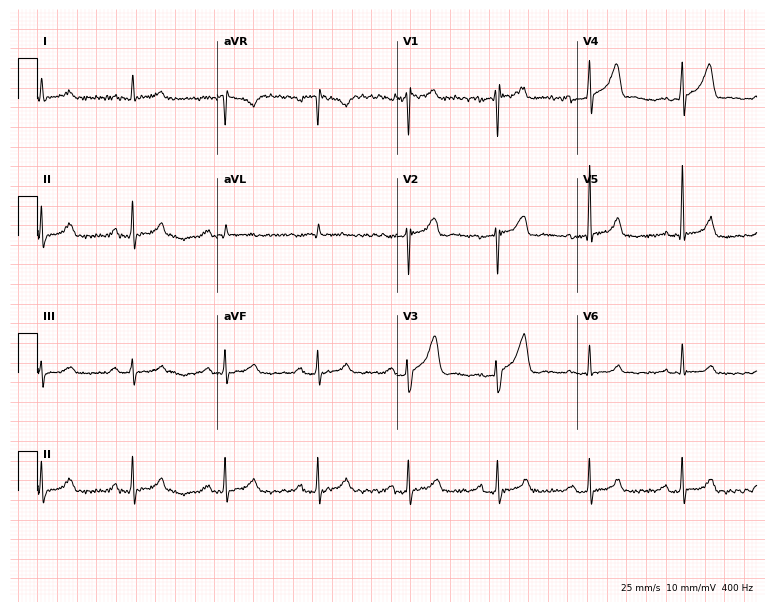
12-lead ECG from a man, 55 years old. Findings include first-degree AV block.